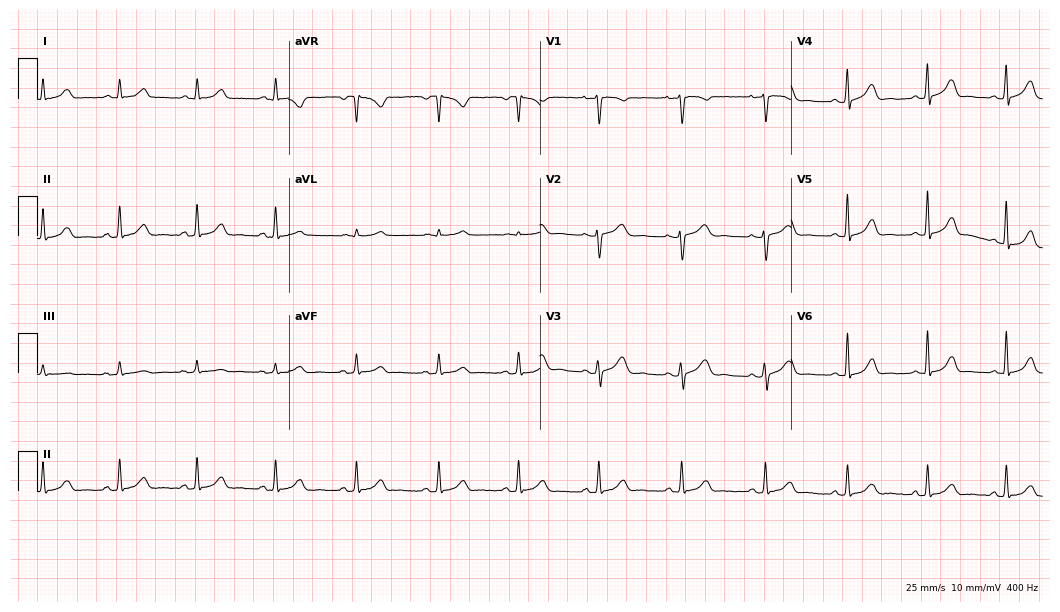
Electrocardiogram (10.2-second recording at 400 Hz), a 40-year-old woman. Overall reading on record: normal ECG.